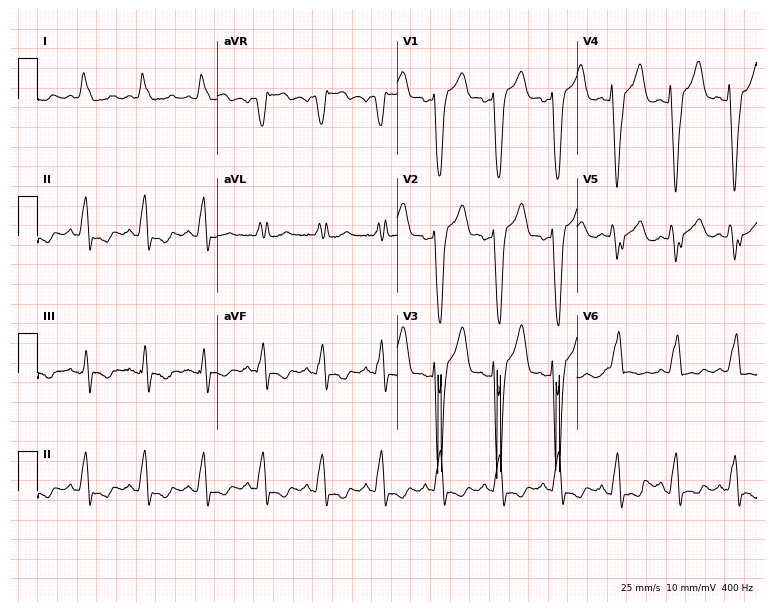
Standard 12-lead ECG recorded from a 62-year-old female (7.3-second recording at 400 Hz). The tracing shows left bundle branch block (LBBB).